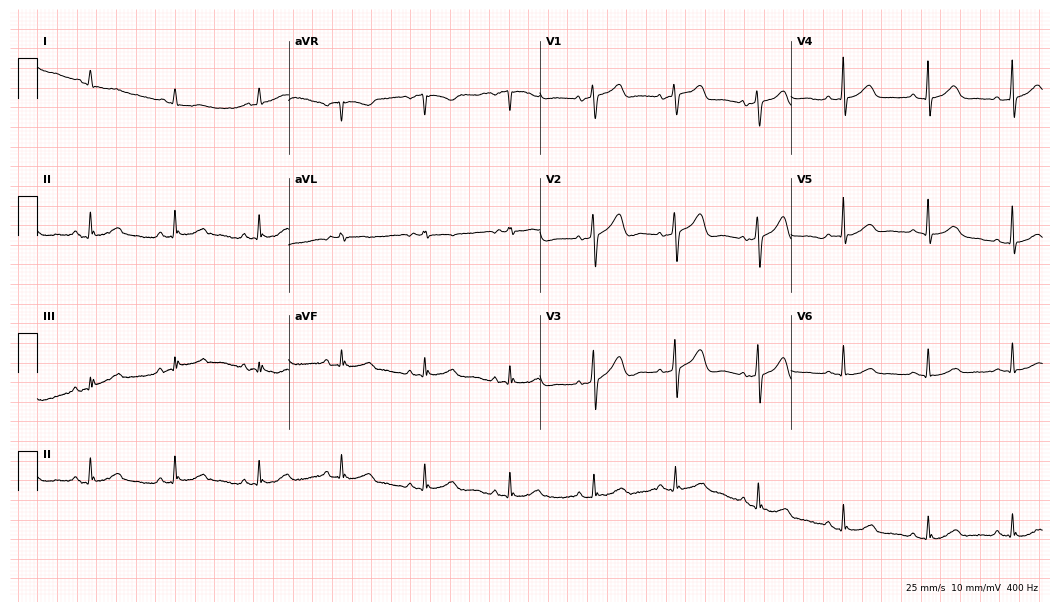
Standard 12-lead ECG recorded from an 83-year-old female (10.2-second recording at 400 Hz). Read as a normal ECG.